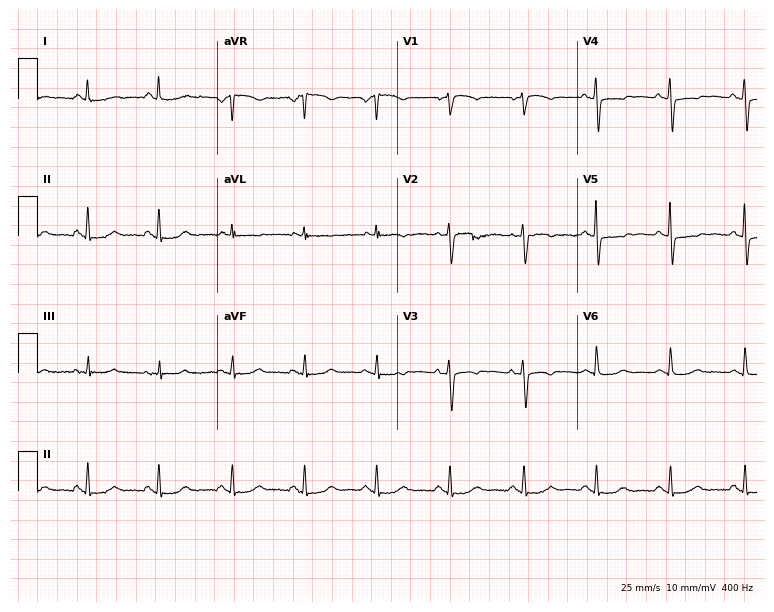
Electrocardiogram, a woman, 69 years old. Of the six screened findings (first-degree AV block, right bundle branch block, left bundle branch block, sinus bradycardia, atrial fibrillation, sinus tachycardia), none is recorded. Other findings, if any, are not listed.